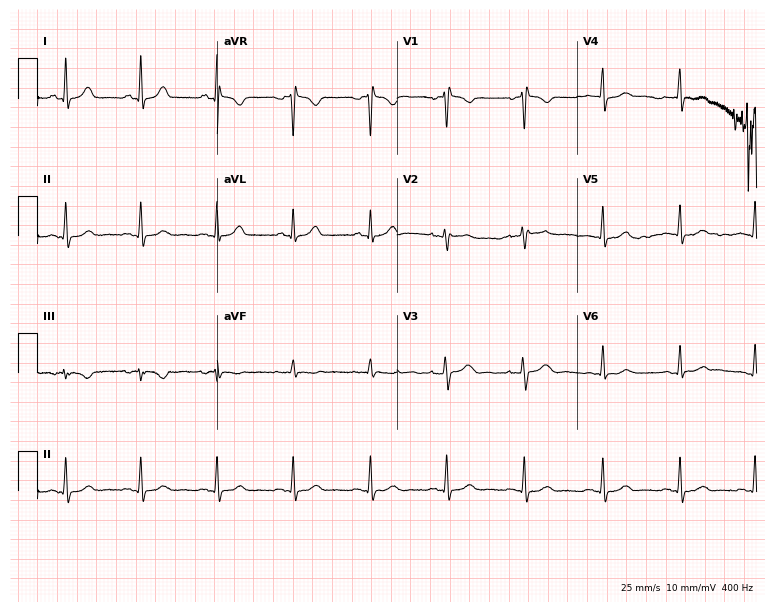
Standard 12-lead ECG recorded from a 38-year-old woman (7.3-second recording at 400 Hz). None of these six findings is recorded: first-degree AV block, right bundle branch block (RBBB), left bundle branch block (LBBB), sinus bradycardia, atrial fibrillation (AF), sinus tachycardia.